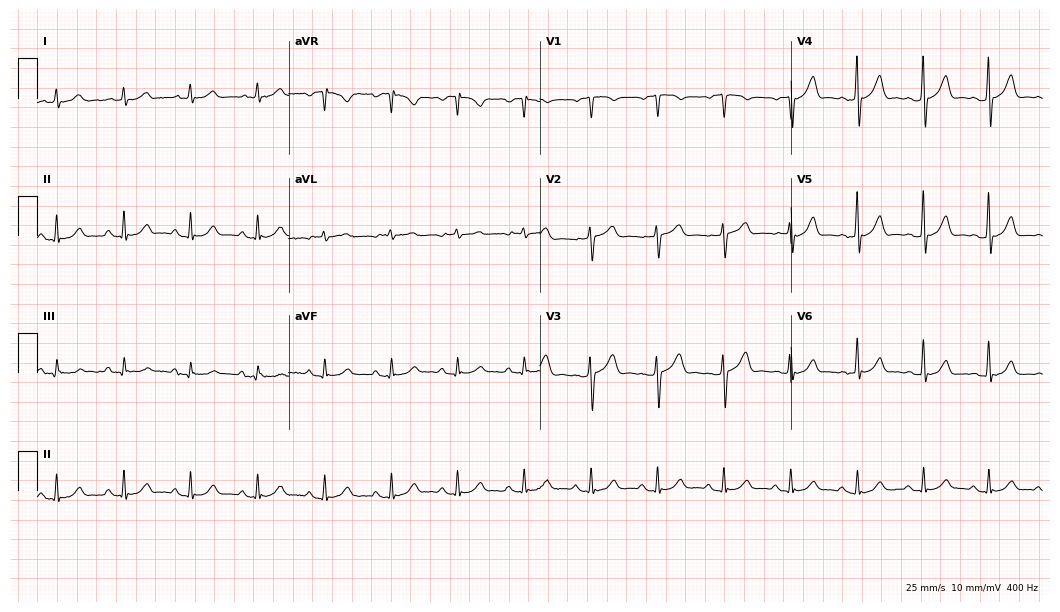
Standard 12-lead ECG recorded from a 73-year-old male patient. Read as a normal ECG.